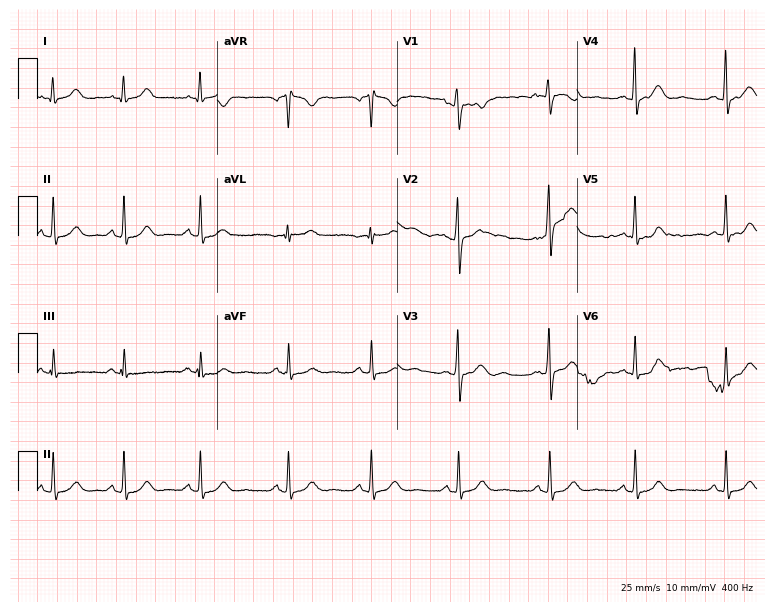
ECG (7.3-second recording at 400 Hz) — a 47-year-old female. Labelled as a normal ECG.